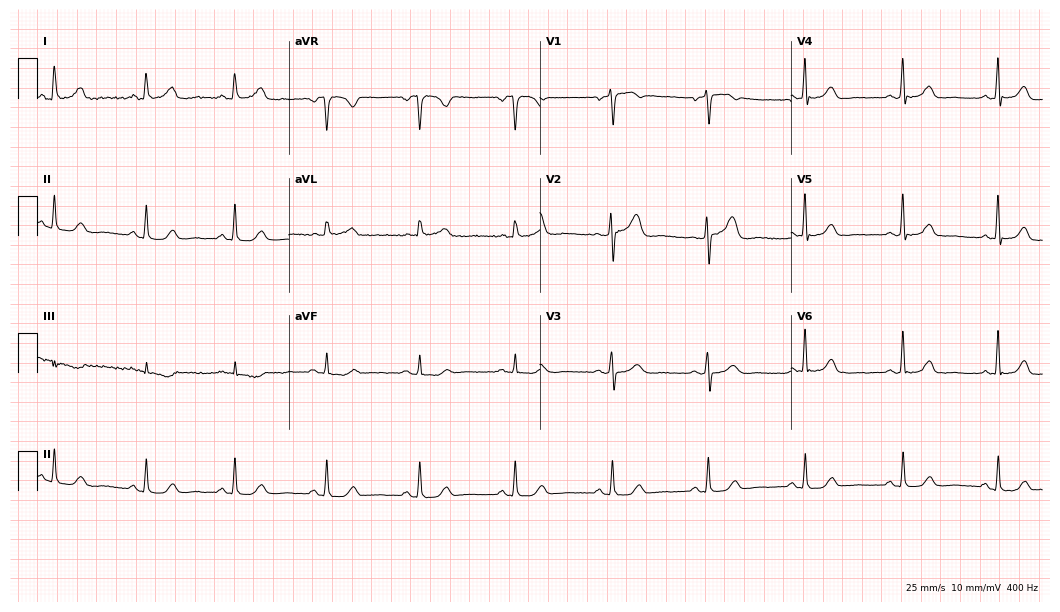
Standard 12-lead ECG recorded from a female, 66 years old (10.2-second recording at 400 Hz). Read as a normal ECG.